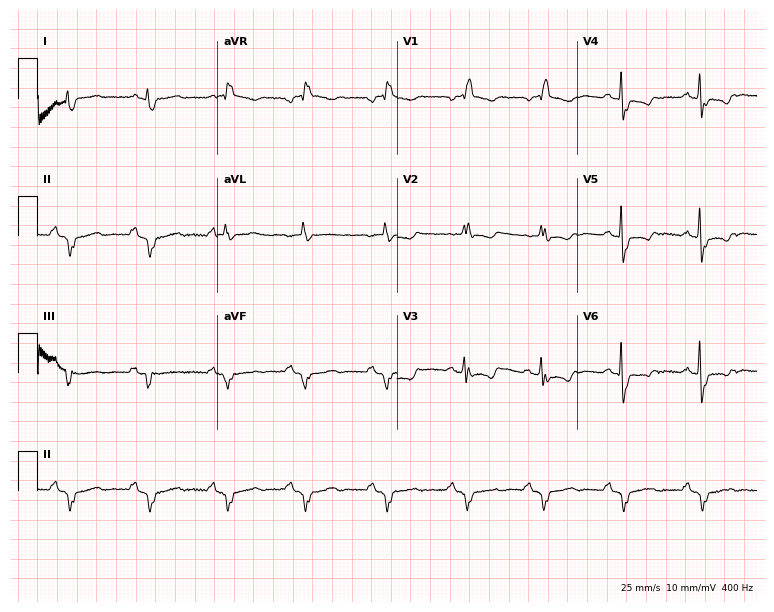
Standard 12-lead ECG recorded from a 76-year-old female patient. The tracing shows right bundle branch block (RBBB).